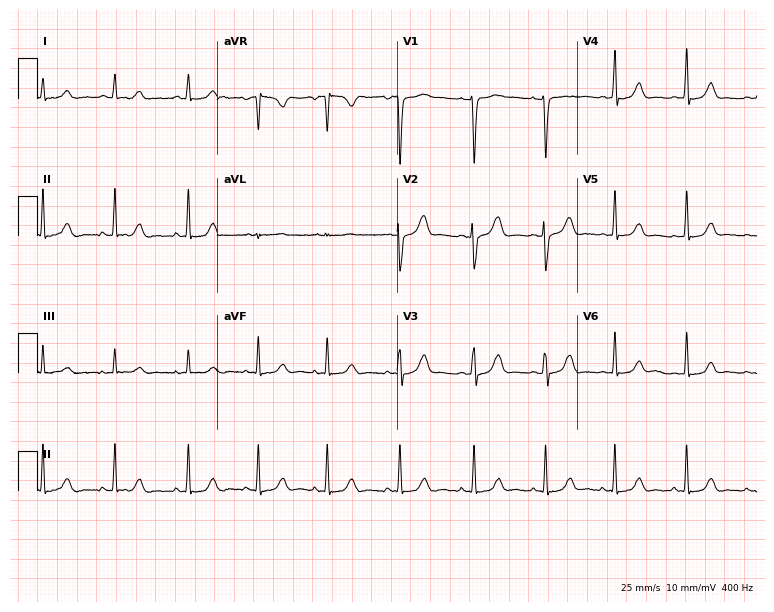
12-lead ECG from a 25-year-old female patient (7.3-second recording at 400 Hz). Recorded interpretation: within normal limits.